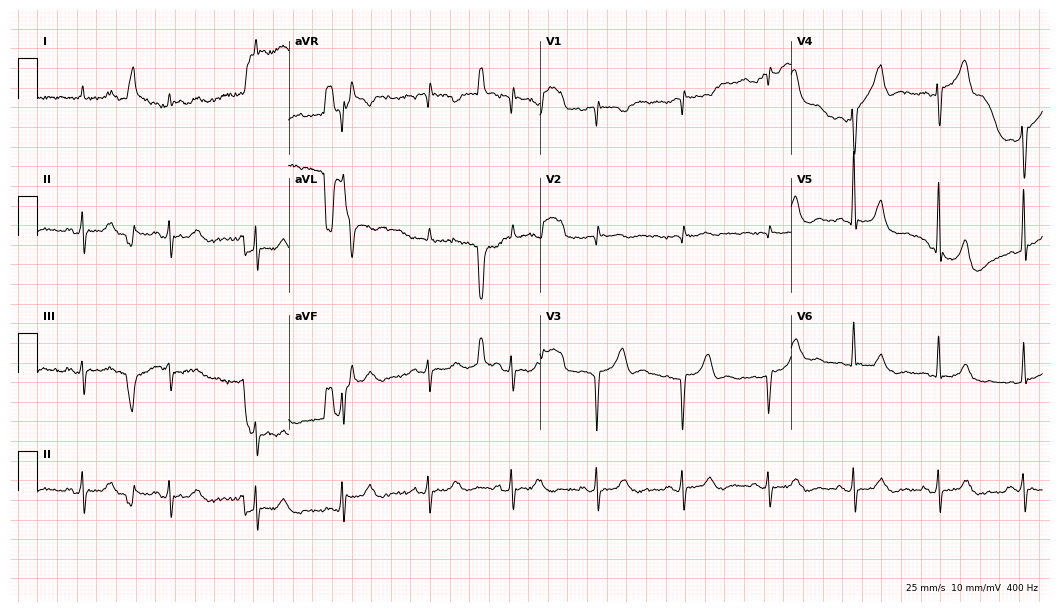
Electrocardiogram (10.2-second recording at 400 Hz), a male patient, 71 years old. Of the six screened findings (first-degree AV block, right bundle branch block, left bundle branch block, sinus bradycardia, atrial fibrillation, sinus tachycardia), none is recorded. Only these six findings were labelled.